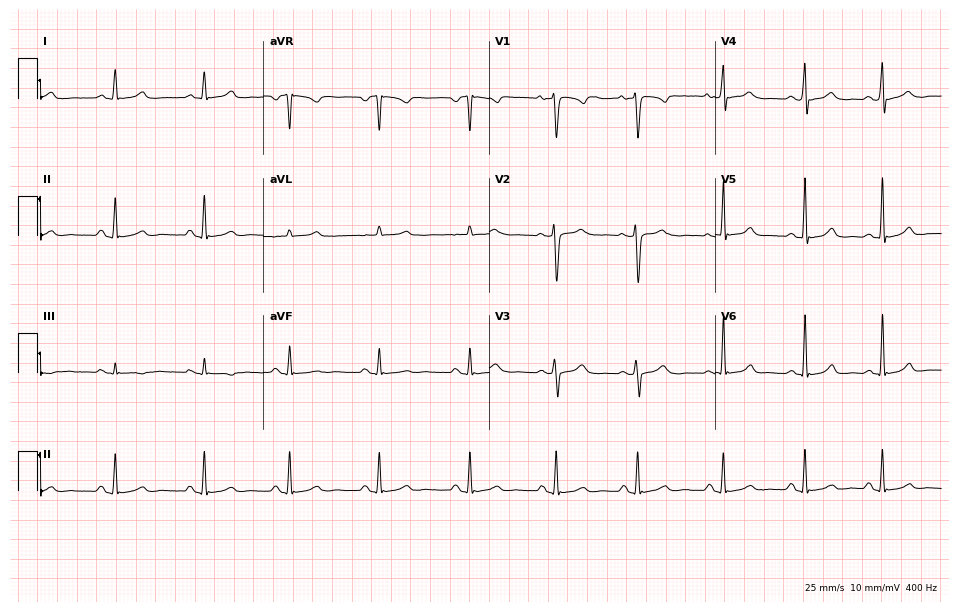
12-lead ECG from a 28-year-old woman. Labelled as a normal ECG.